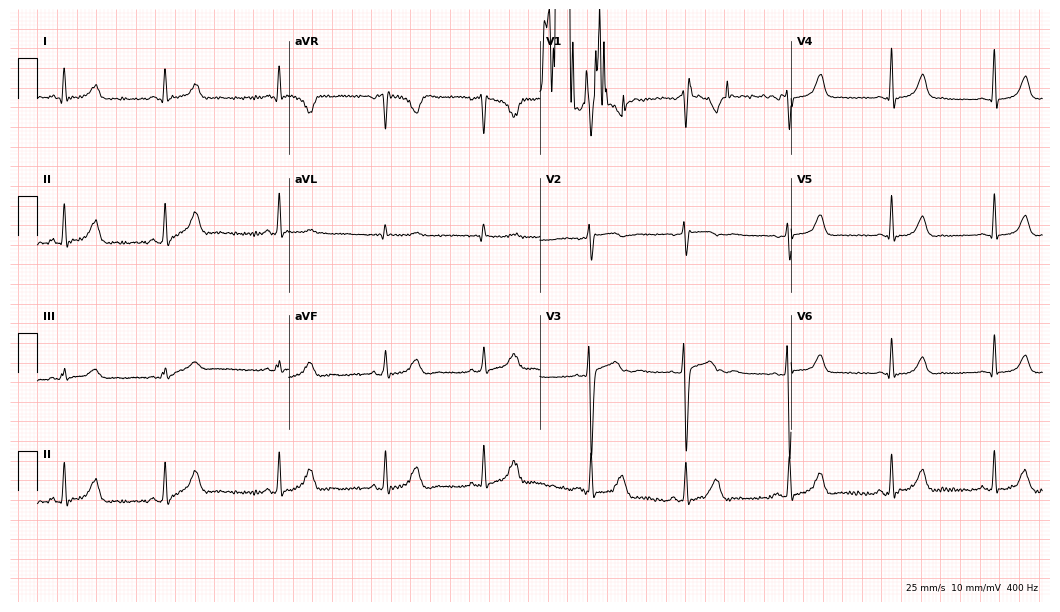
12-lead ECG from a 22-year-old woman (10.2-second recording at 400 Hz). Recorded interpretation: within normal limits.